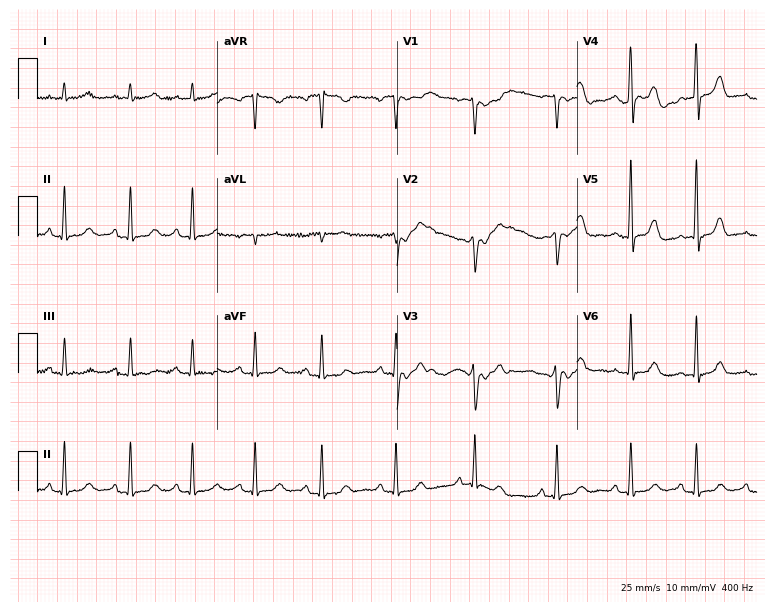
Electrocardiogram, a 47-year-old female. Of the six screened findings (first-degree AV block, right bundle branch block, left bundle branch block, sinus bradycardia, atrial fibrillation, sinus tachycardia), none is recorded.